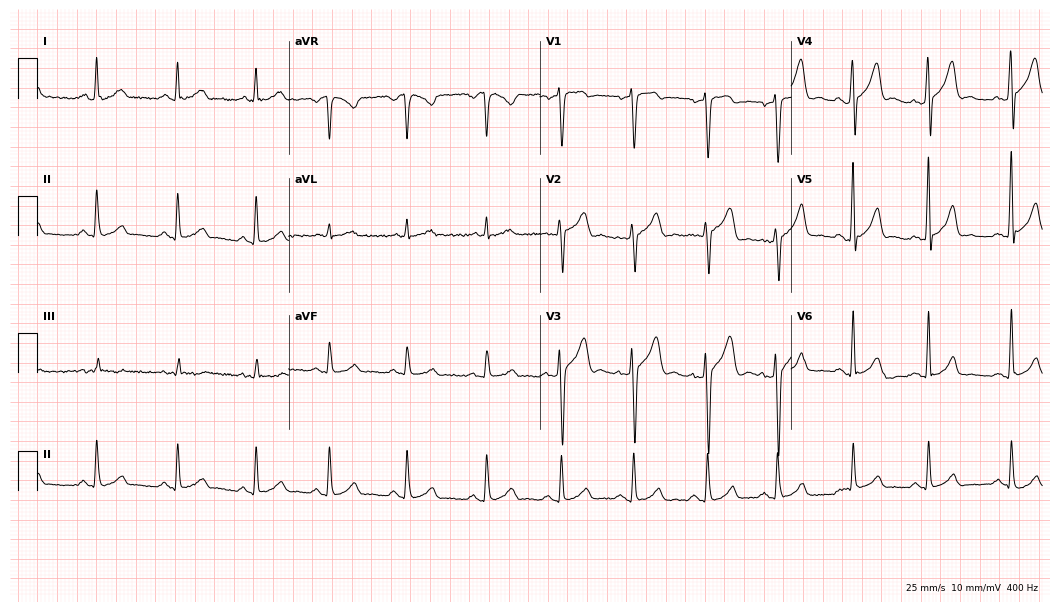
Standard 12-lead ECG recorded from a man, 30 years old. None of these six findings is recorded: first-degree AV block, right bundle branch block, left bundle branch block, sinus bradycardia, atrial fibrillation, sinus tachycardia. Findings outside these six are not listed.